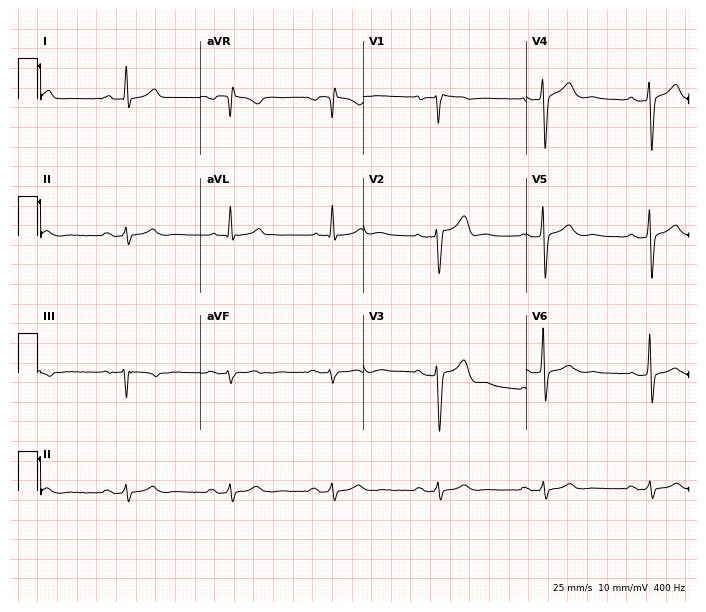
12-lead ECG (6.6-second recording at 400 Hz) from a male, 44 years old. Screened for six findings — first-degree AV block, right bundle branch block, left bundle branch block, sinus bradycardia, atrial fibrillation, sinus tachycardia — none is recorded.